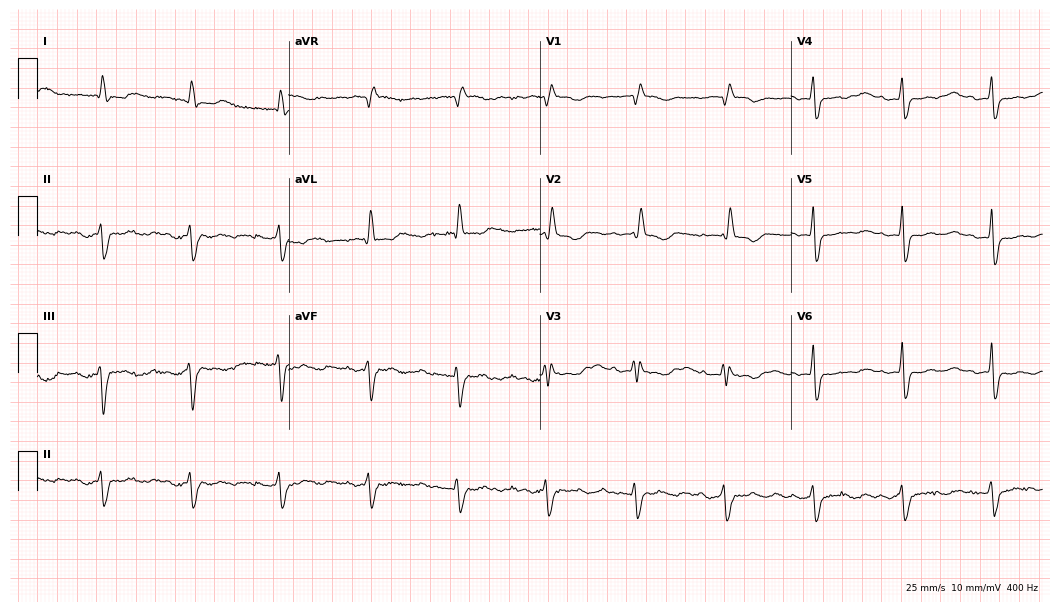
12-lead ECG from a woman, 81 years old. Shows right bundle branch block (RBBB).